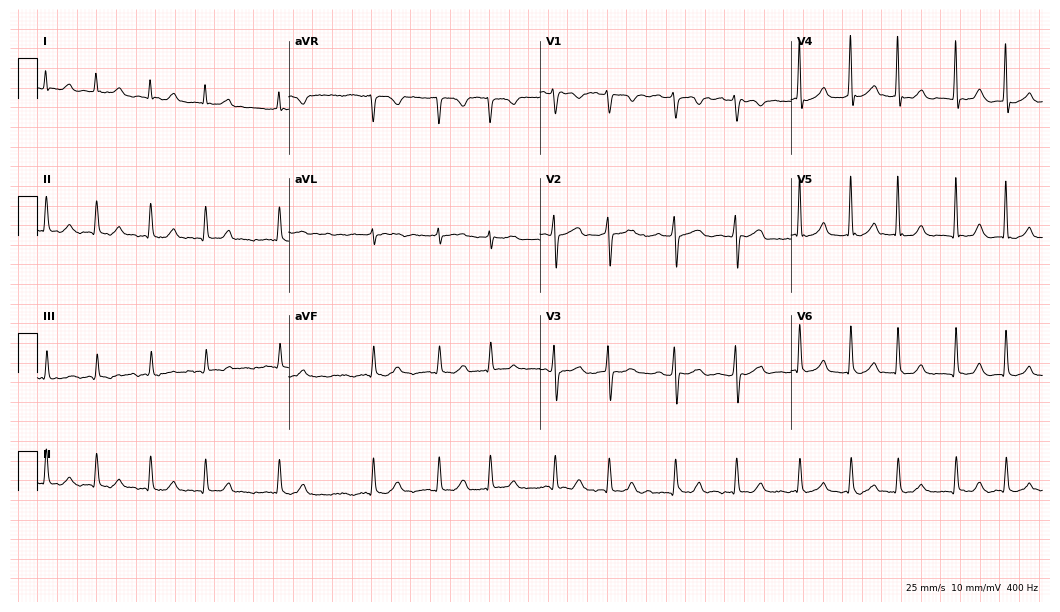
Electrocardiogram (10.2-second recording at 400 Hz), a woman, 57 years old. Interpretation includes atrial fibrillation (AF).